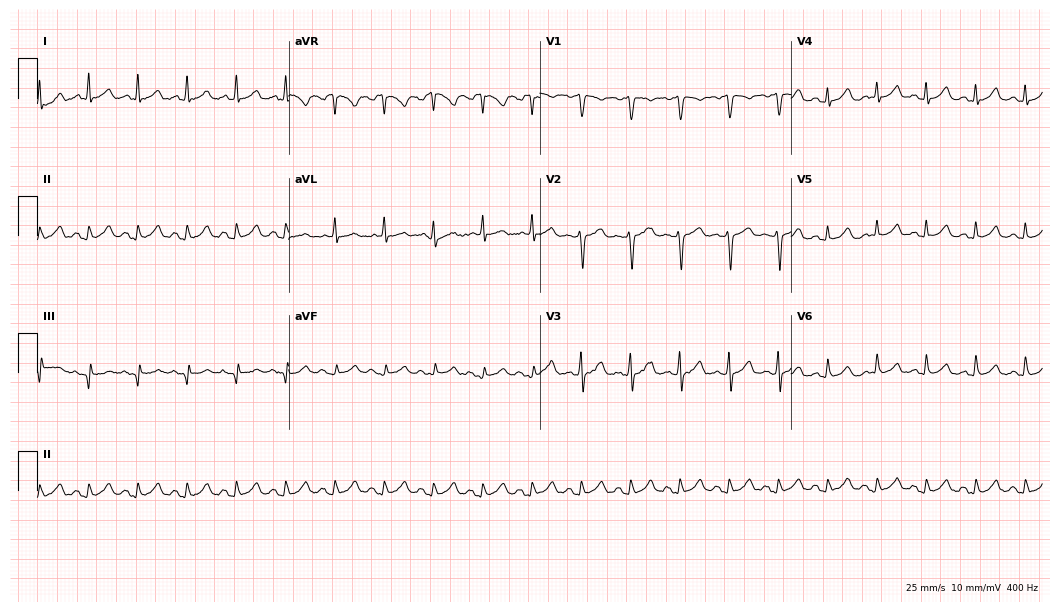
Resting 12-lead electrocardiogram. Patient: a female, 59 years old. None of these six findings is recorded: first-degree AV block, right bundle branch block, left bundle branch block, sinus bradycardia, atrial fibrillation, sinus tachycardia. Other findings, if any, are not listed.